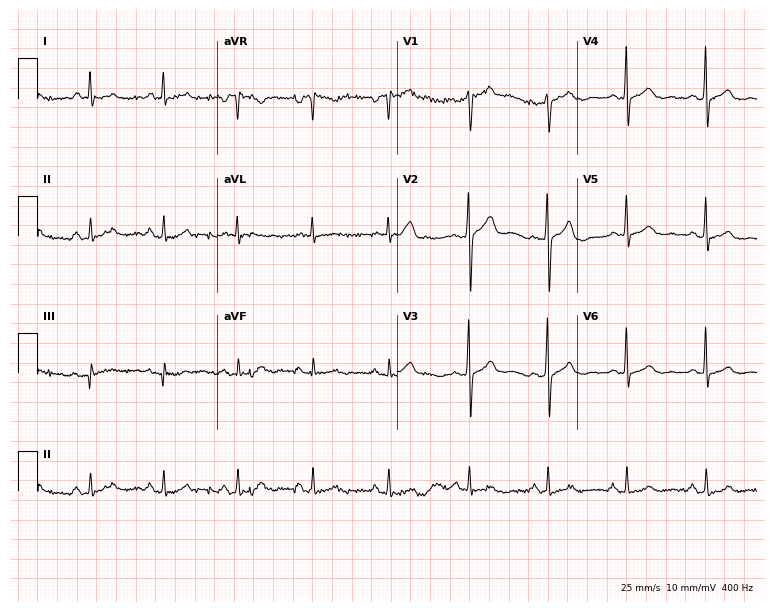
ECG (7.3-second recording at 400 Hz) — a man, 51 years old. Screened for six findings — first-degree AV block, right bundle branch block, left bundle branch block, sinus bradycardia, atrial fibrillation, sinus tachycardia — none is recorded.